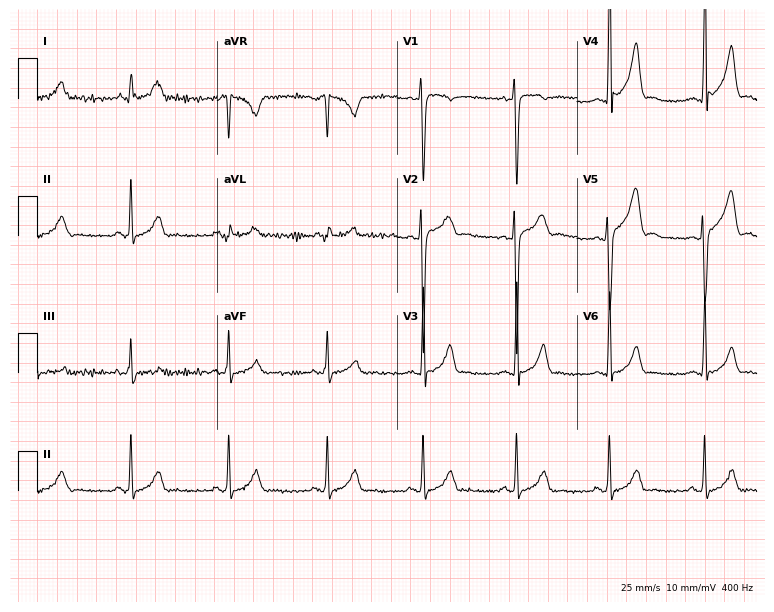
Resting 12-lead electrocardiogram (7.3-second recording at 400 Hz). Patient: a man, 29 years old. None of these six findings is recorded: first-degree AV block, right bundle branch block (RBBB), left bundle branch block (LBBB), sinus bradycardia, atrial fibrillation (AF), sinus tachycardia. Only these six findings were labelled.